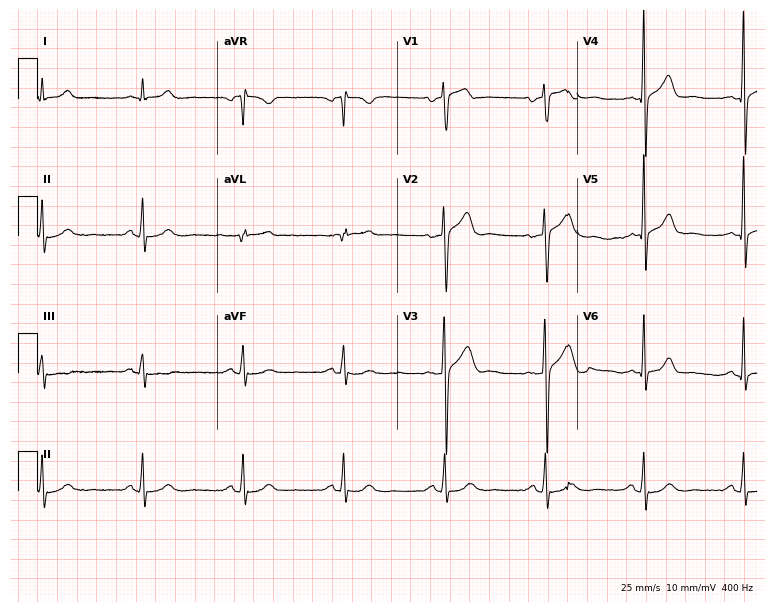
12-lead ECG from a 61-year-old male patient (7.3-second recording at 400 Hz). No first-degree AV block, right bundle branch block, left bundle branch block, sinus bradycardia, atrial fibrillation or sinus tachycardia recorded for this tracing. Findings outside these six are not listed.